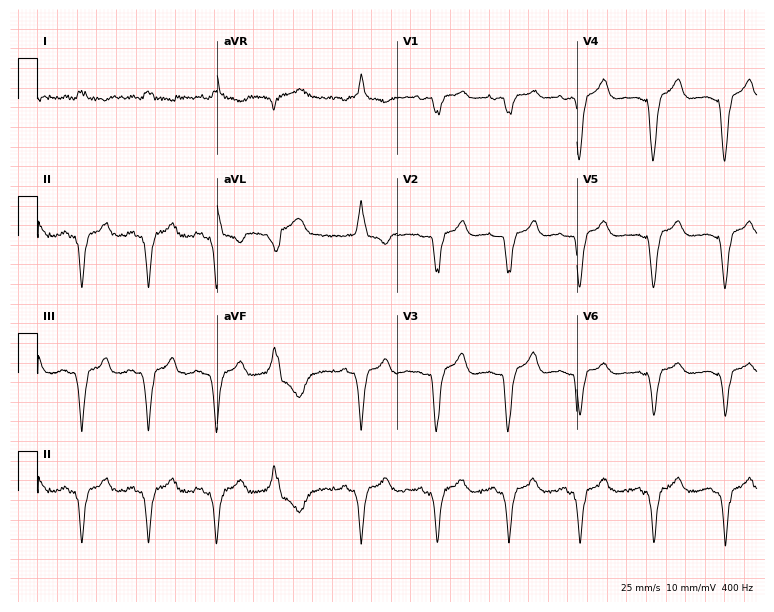
12-lead ECG from a female, 58 years old. No first-degree AV block, right bundle branch block (RBBB), left bundle branch block (LBBB), sinus bradycardia, atrial fibrillation (AF) or sinus tachycardia recorded for this tracing.